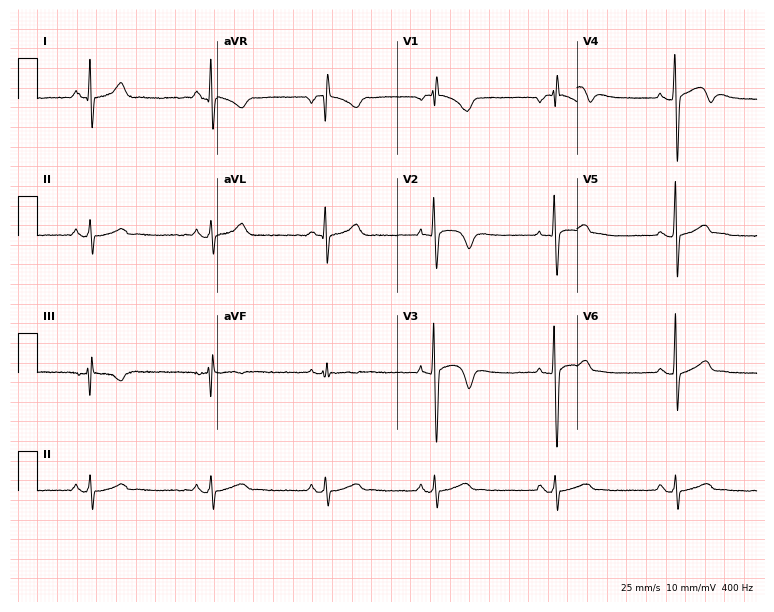
ECG — a 29-year-old male. Screened for six findings — first-degree AV block, right bundle branch block, left bundle branch block, sinus bradycardia, atrial fibrillation, sinus tachycardia — none is recorded.